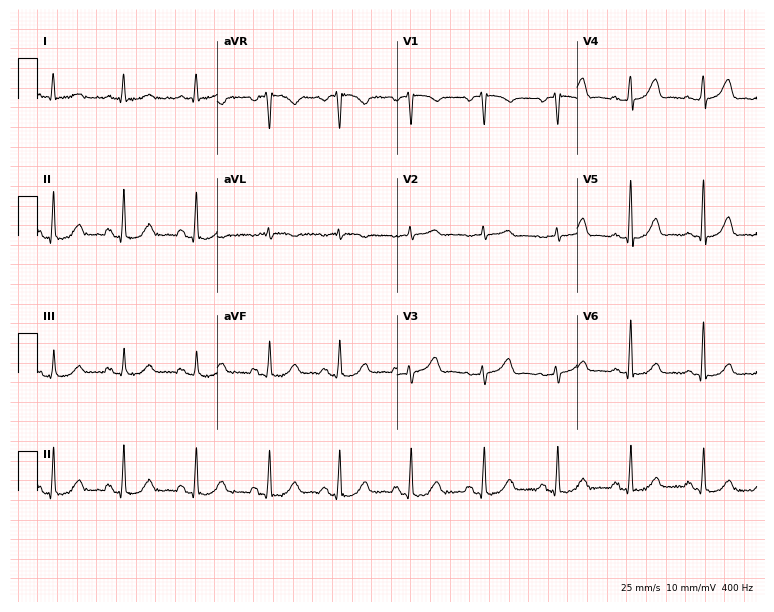
12-lead ECG from a woman, 69 years old. Labelled as a normal ECG.